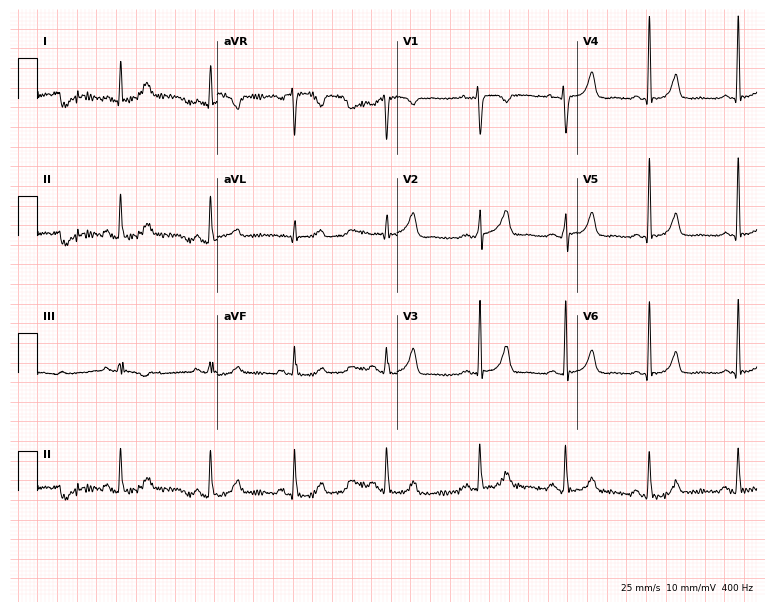
Electrocardiogram (7.3-second recording at 400 Hz), a 40-year-old female patient. Of the six screened findings (first-degree AV block, right bundle branch block, left bundle branch block, sinus bradycardia, atrial fibrillation, sinus tachycardia), none is recorded.